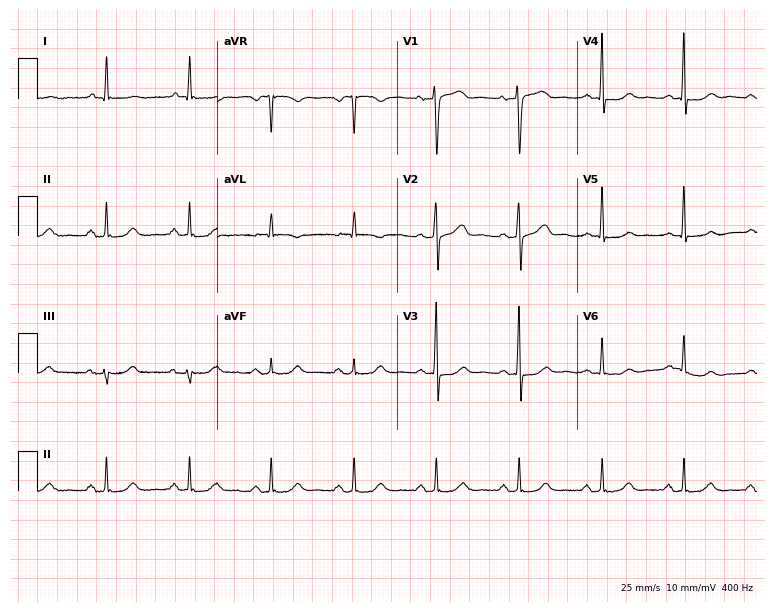
Electrocardiogram, a 62-year-old female patient. Of the six screened findings (first-degree AV block, right bundle branch block, left bundle branch block, sinus bradycardia, atrial fibrillation, sinus tachycardia), none is recorded. Findings outside these six are not listed.